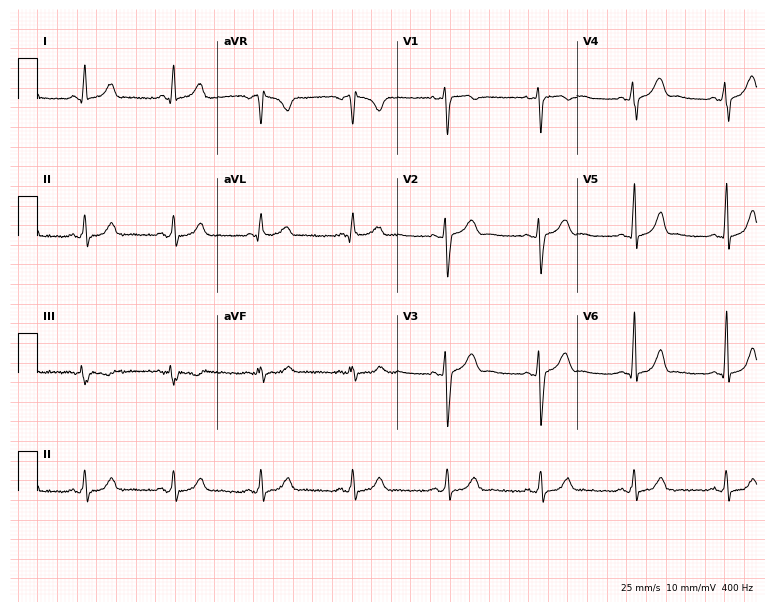
12-lead ECG (7.3-second recording at 400 Hz) from a 32-year-old female. Labelled as a normal ECG.